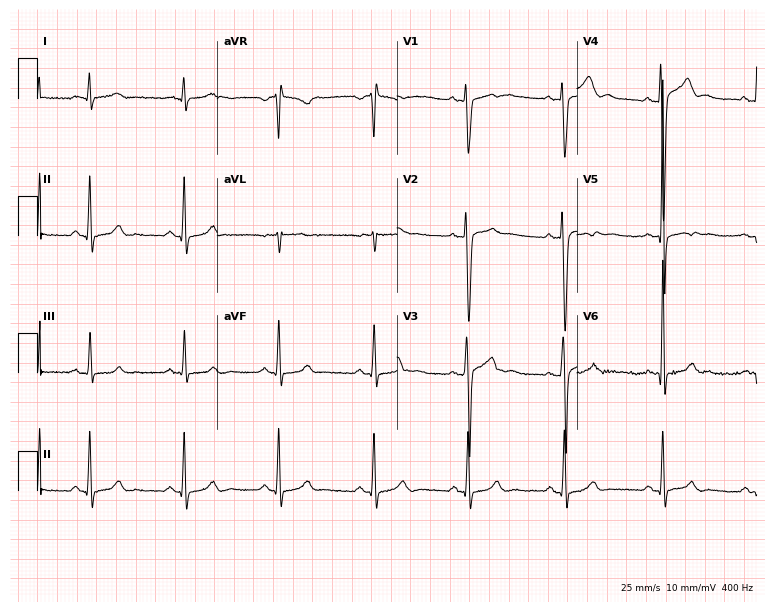
12-lead ECG from a 35-year-old man. No first-degree AV block, right bundle branch block, left bundle branch block, sinus bradycardia, atrial fibrillation or sinus tachycardia recorded for this tracing.